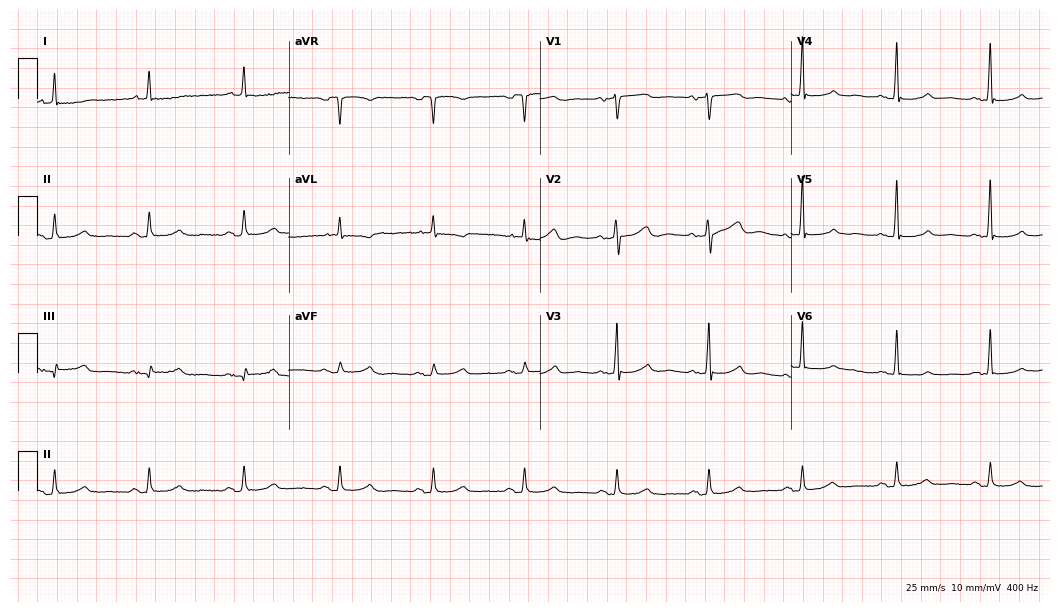
ECG — a 73-year-old female. Labelled as a normal ECG.